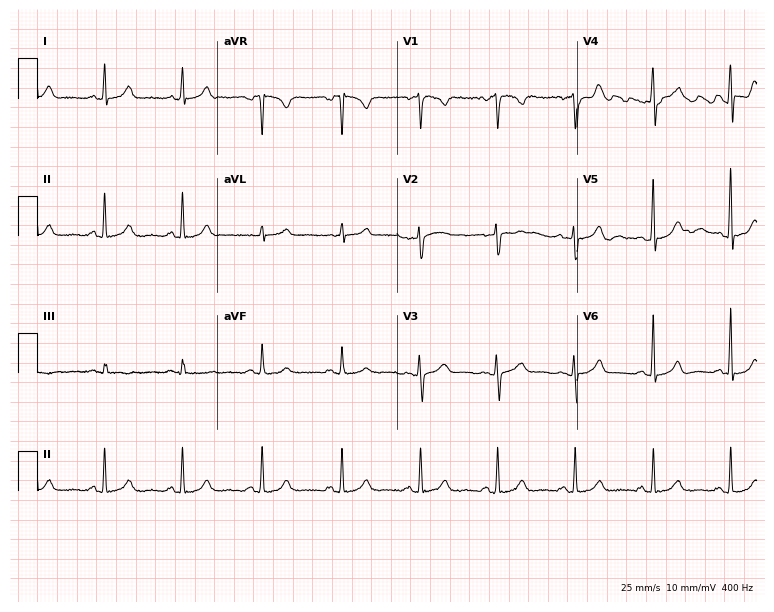
Standard 12-lead ECG recorded from a 41-year-old woman (7.3-second recording at 400 Hz). None of these six findings is recorded: first-degree AV block, right bundle branch block, left bundle branch block, sinus bradycardia, atrial fibrillation, sinus tachycardia. Other findings, if any, are not listed.